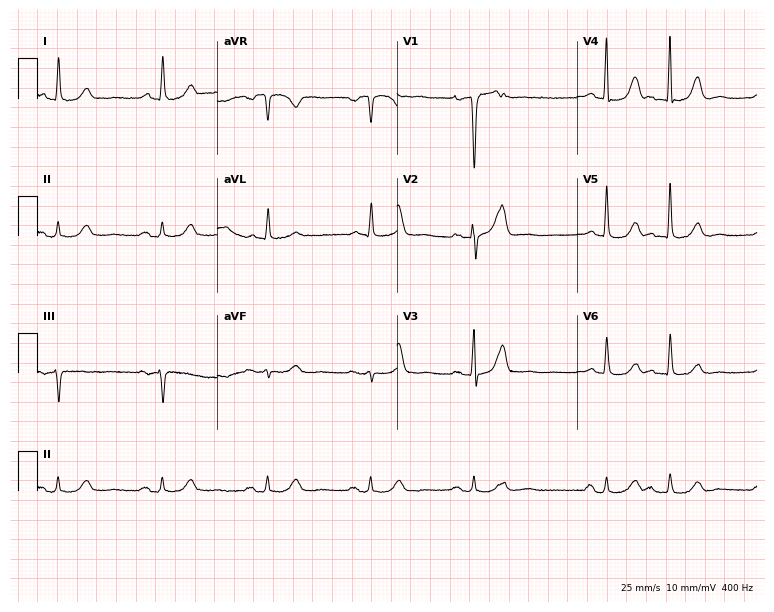
ECG — a male patient, 61 years old. Labelled as a normal ECG.